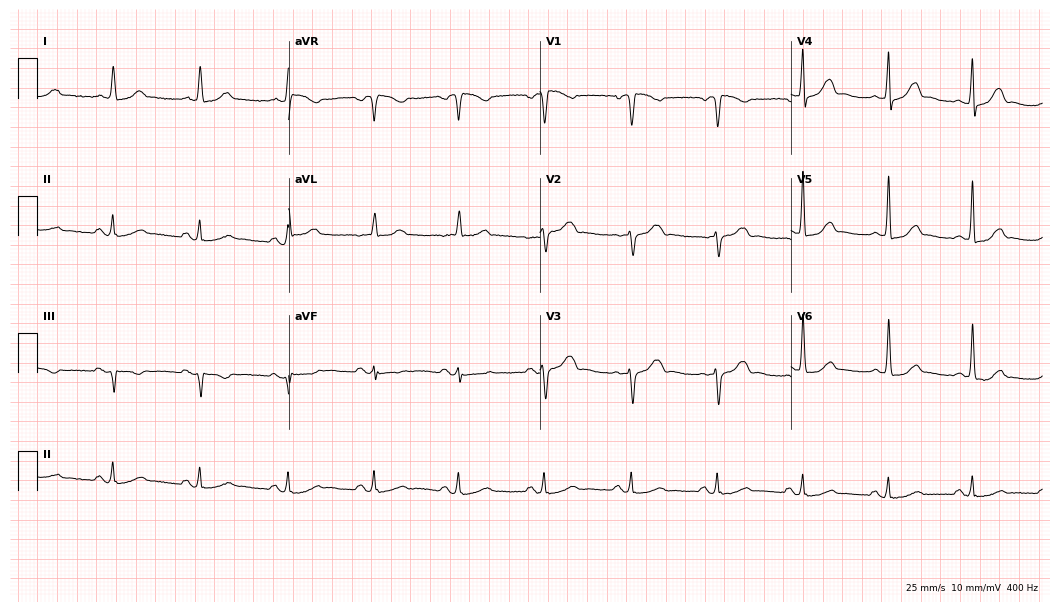
Resting 12-lead electrocardiogram (10.2-second recording at 400 Hz). Patient: a 66-year-old woman. None of these six findings is recorded: first-degree AV block, right bundle branch block, left bundle branch block, sinus bradycardia, atrial fibrillation, sinus tachycardia. Findings outside these six are not listed.